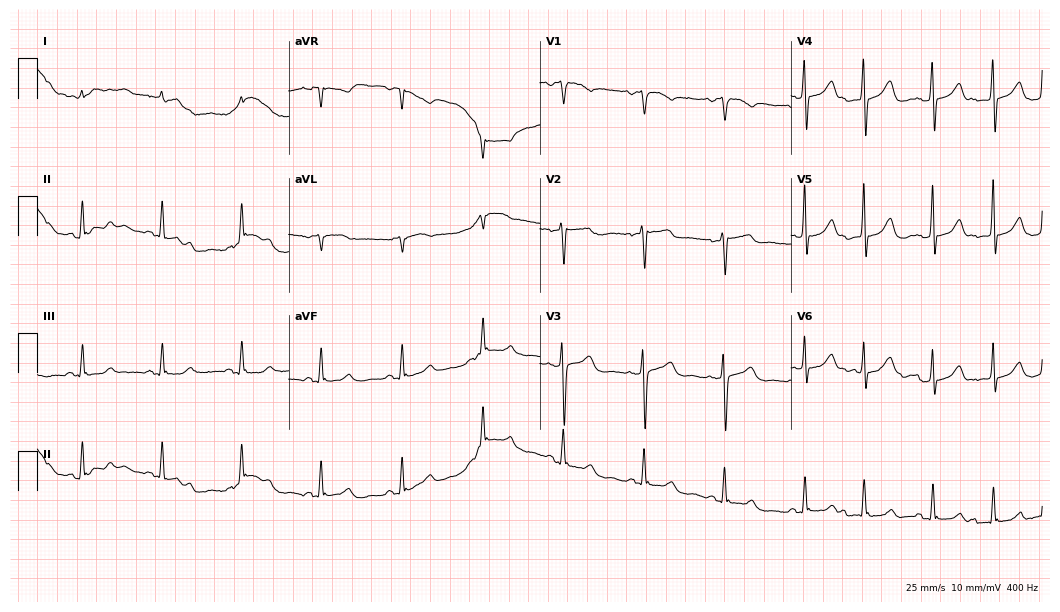
12-lead ECG (10.2-second recording at 400 Hz) from a female, 79 years old. Screened for six findings — first-degree AV block, right bundle branch block, left bundle branch block, sinus bradycardia, atrial fibrillation, sinus tachycardia — none is recorded.